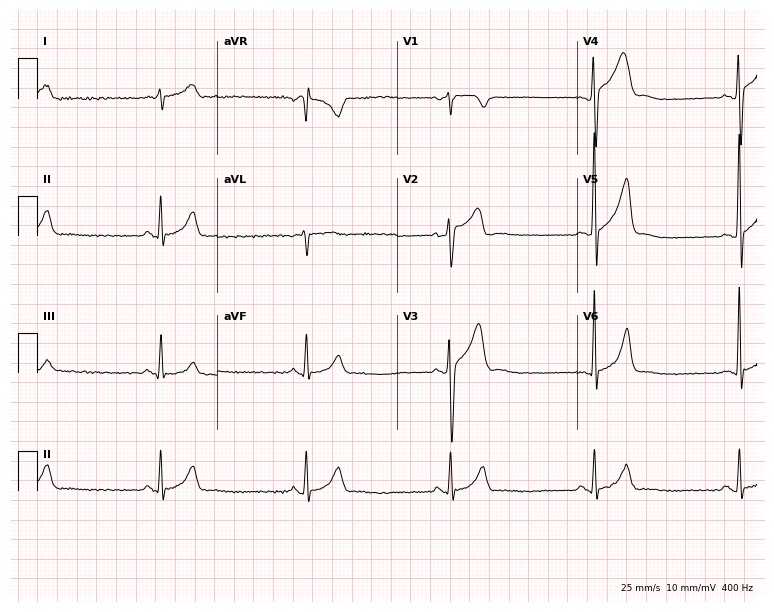
Resting 12-lead electrocardiogram. Patient: a male, 43 years old. The tracing shows sinus bradycardia (a sinus rate of 50 beats per minute or less).